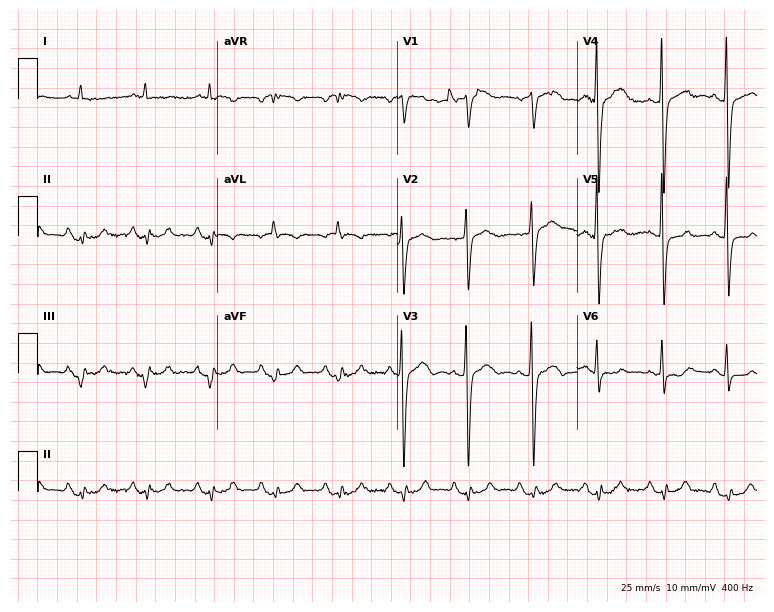
Electrocardiogram, a male, 77 years old. Of the six screened findings (first-degree AV block, right bundle branch block (RBBB), left bundle branch block (LBBB), sinus bradycardia, atrial fibrillation (AF), sinus tachycardia), none is recorded.